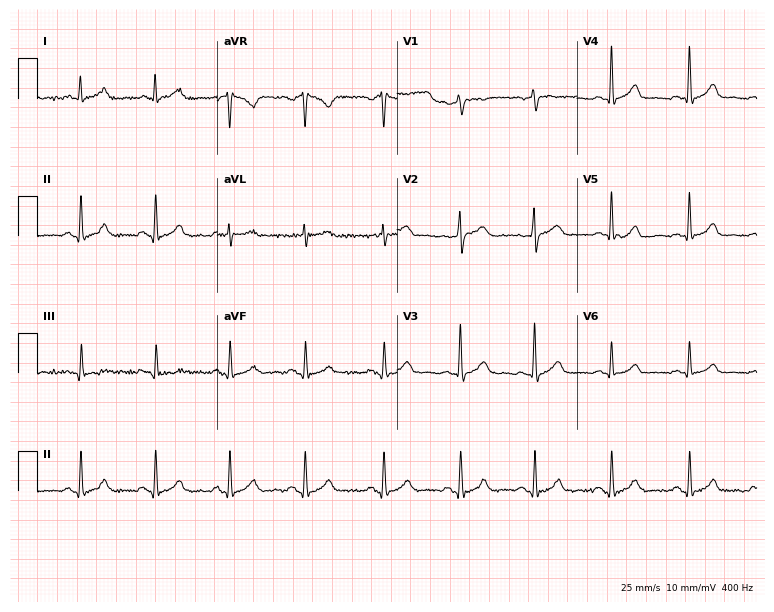
ECG (7.3-second recording at 400 Hz) — a 45-year-old female. Labelled as a normal ECG.